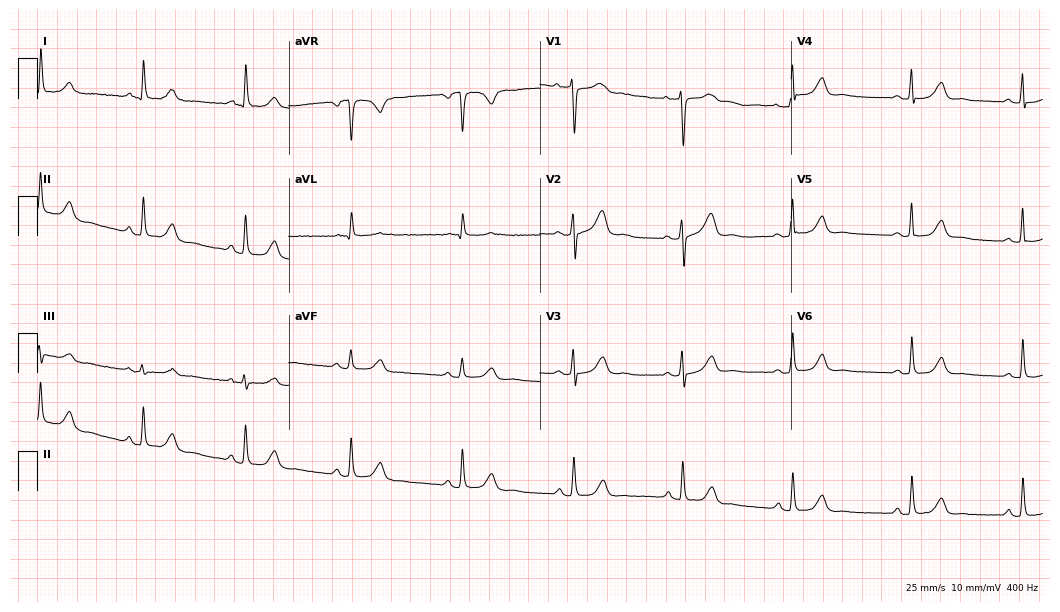
12-lead ECG from a 64-year-old female patient (10.2-second recording at 400 Hz). Recorded interpretation: within normal limits.